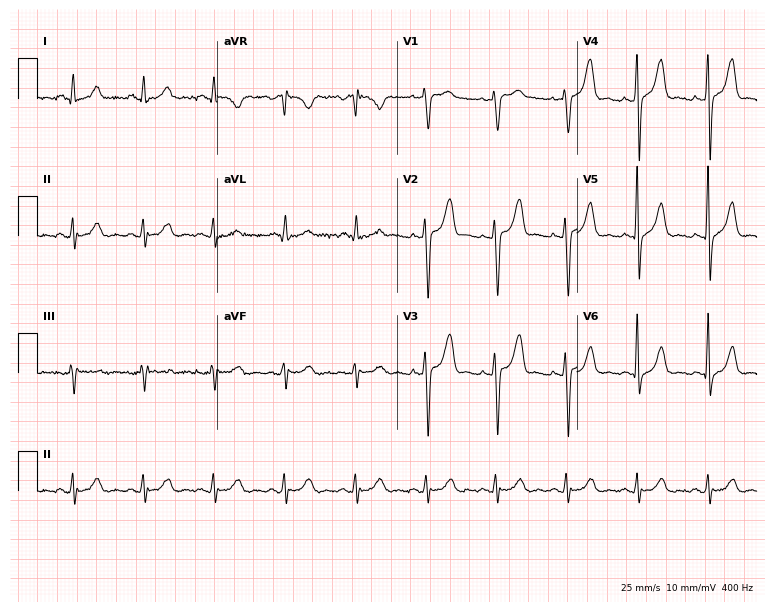
Resting 12-lead electrocardiogram. Patient: a 42-year-old woman. None of these six findings is recorded: first-degree AV block, right bundle branch block (RBBB), left bundle branch block (LBBB), sinus bradycardia, atrial fibrillation (AF), sinus tachycardia.